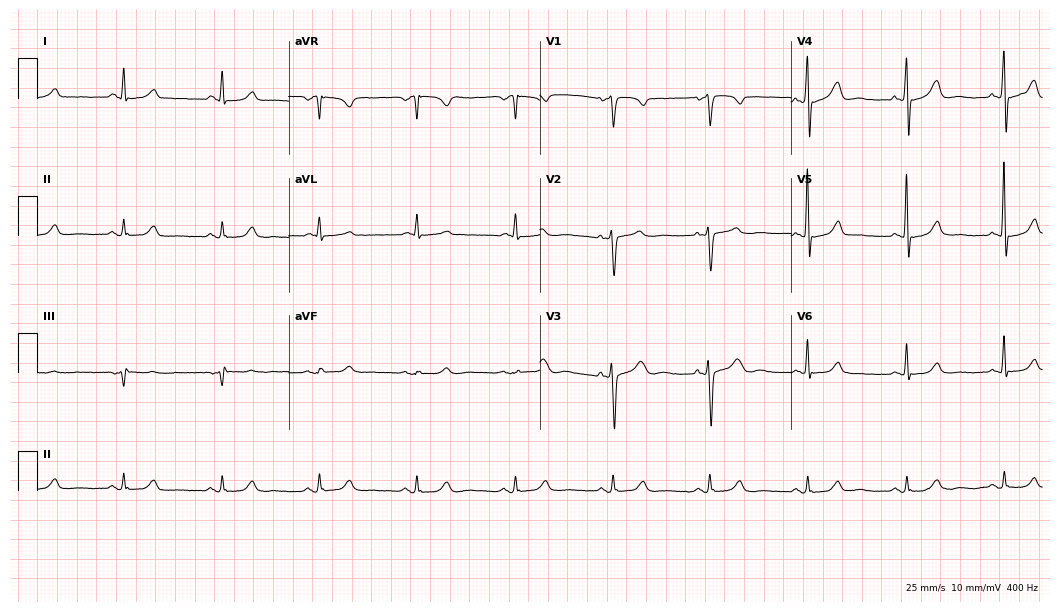
12-lead ECG from a 68-year-old male patient. Labelled as a normal ECG.